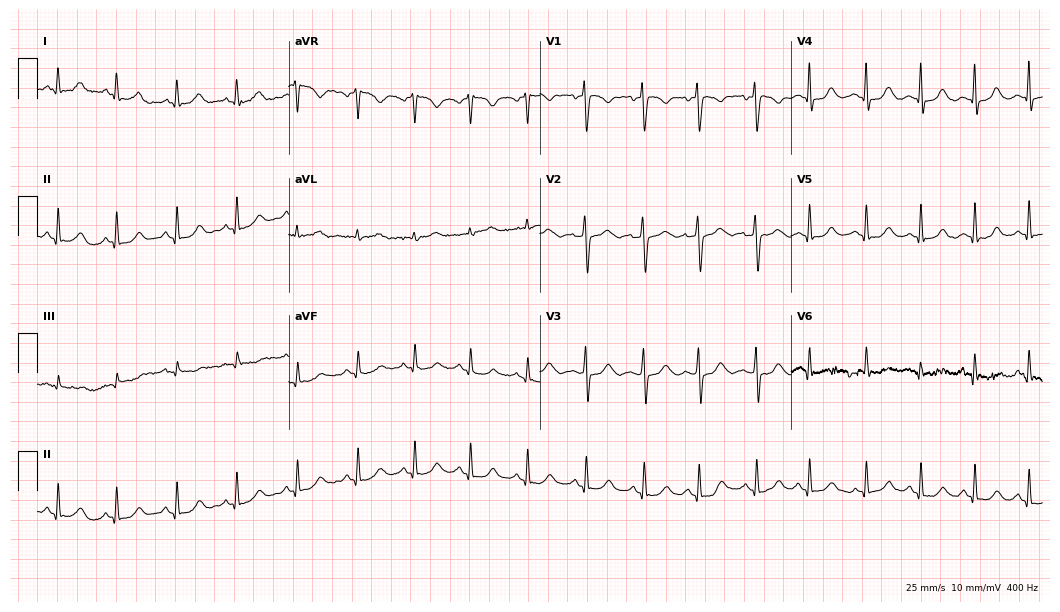
Standard 12-lead ECG recorded from a 41-year-old female. Read as a normal ECG.